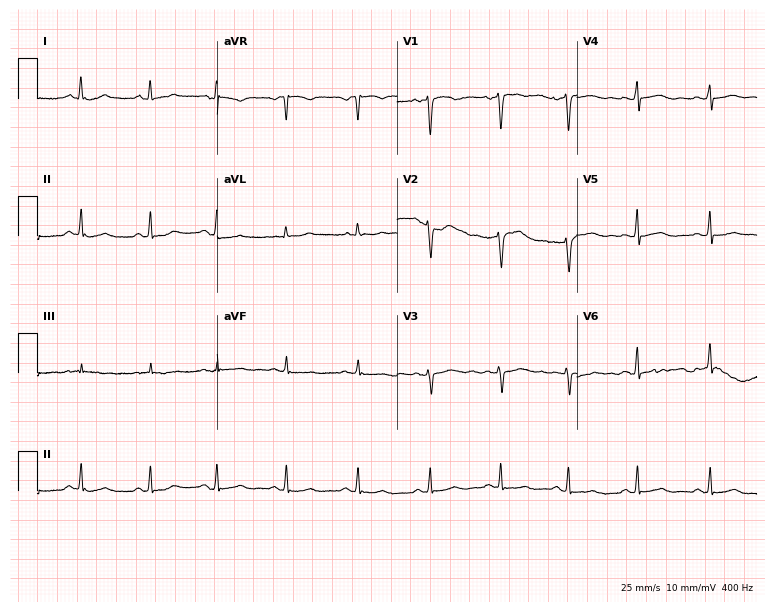
Resting 12-lead electrocardiogram. Patient: a 32-year-old female. Read as a normal ECG.